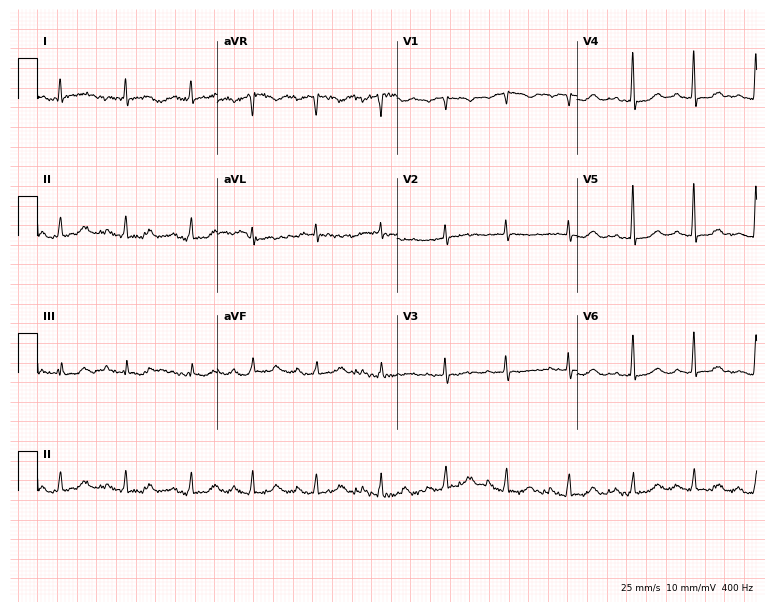
Electrocardiogram, a woman, 83 years old. Overall reading on record: normal ECG.